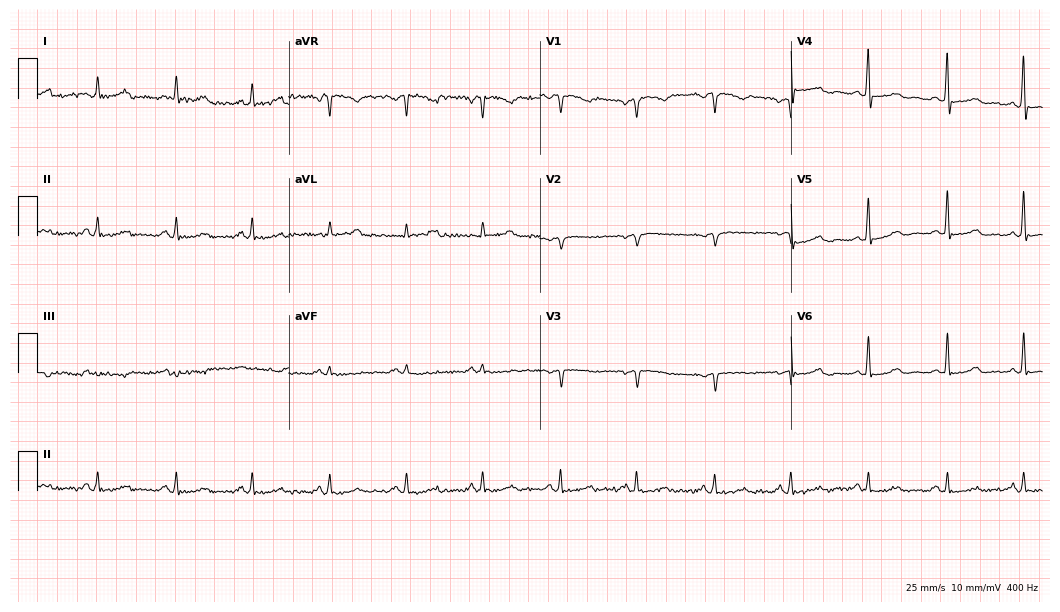
ECG (10.2-second recording at 400 Hz) — a 53-year-old female. Screened for six findings — first-degree AV block, right bundle branch block (RBBB), left bundle branch block (LBBB), sinus bradycardia, atrial fibrillation (AF), sinus tachycardia — none is recorded. Only these six findings were labelled.